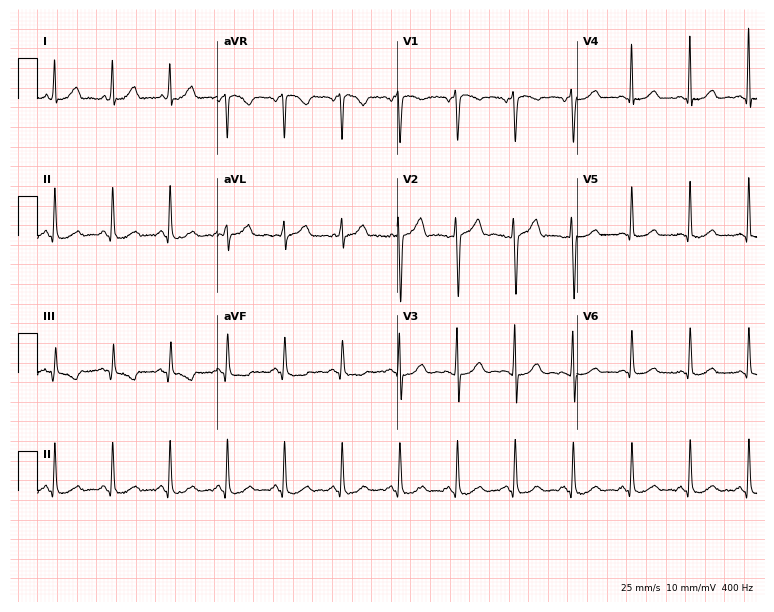
Standard 12-lead ECG recorded from a 44-year-old female (7.3-second recording at 400 Hz). The tracing shows sinus tachycardia (a sinus rate of 100 beats per minute or more).